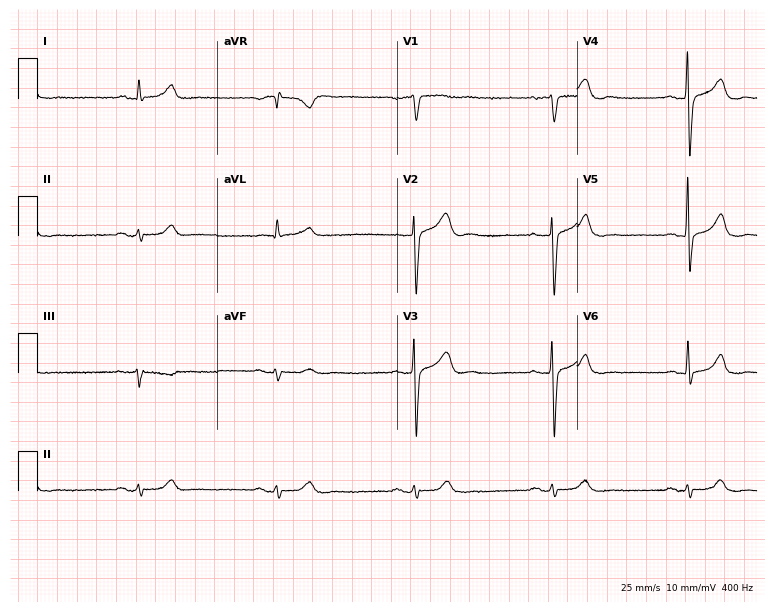
12-lead ECG from a 56-year-old man. No first-degree AV block, right bundle branch block (RBBB), left bundle branch block (LBBB), sinus bradycardia, atrial fibrillation (AF) or sinus tachycardia recorded for this tracing. Other findings, if any, are not listed.